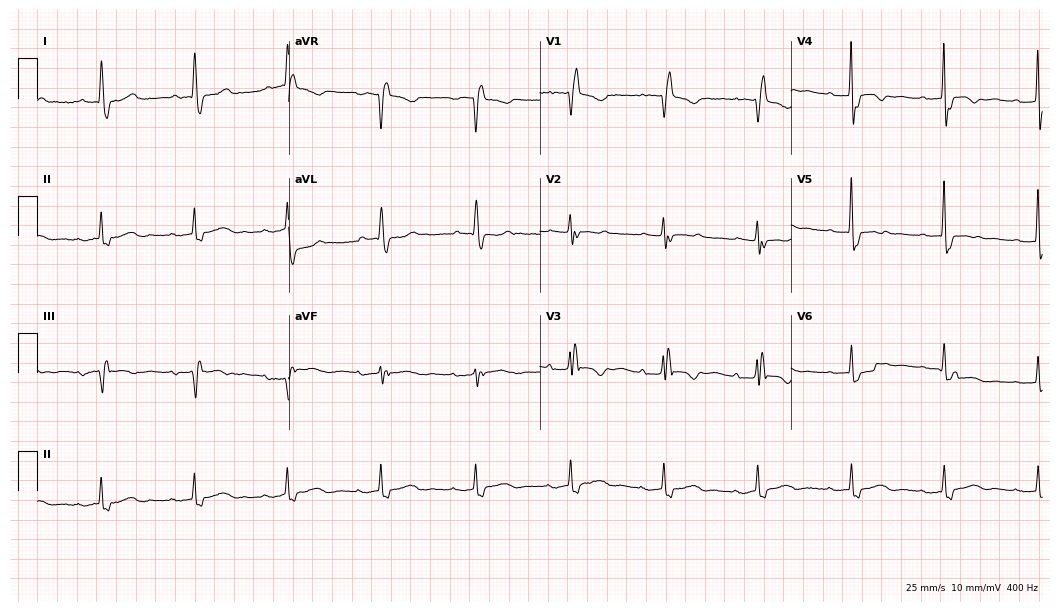
Standard 12-lead ECG recorded from a woman, 82 years old. The tracing shows right bundle branch block.